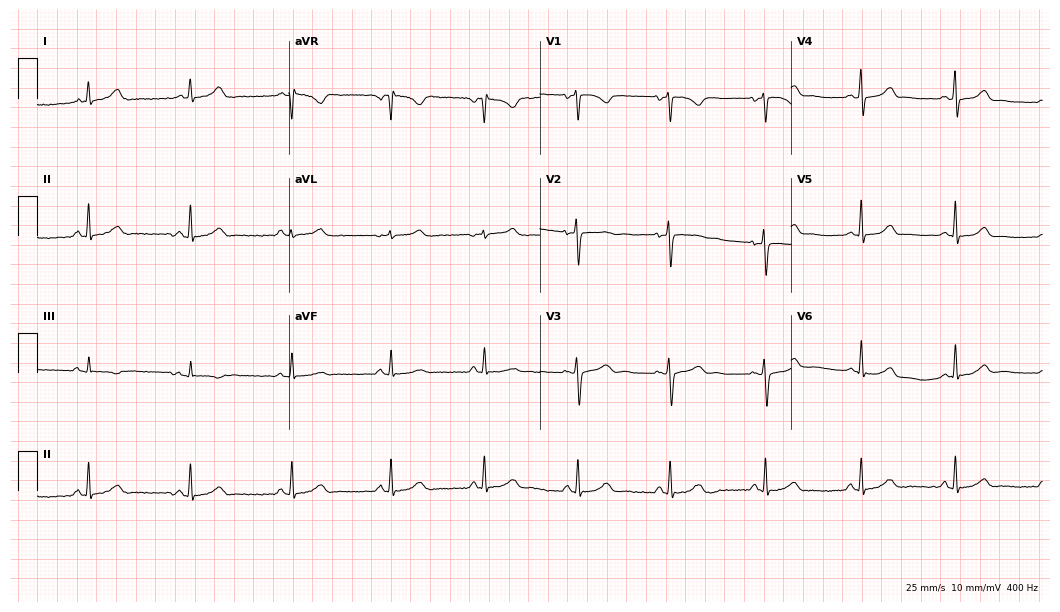
Standard 12-lead ECG recorded from a woman, 36 years old (10.2-second recording at 400 Hz). Read as a normal ECG.